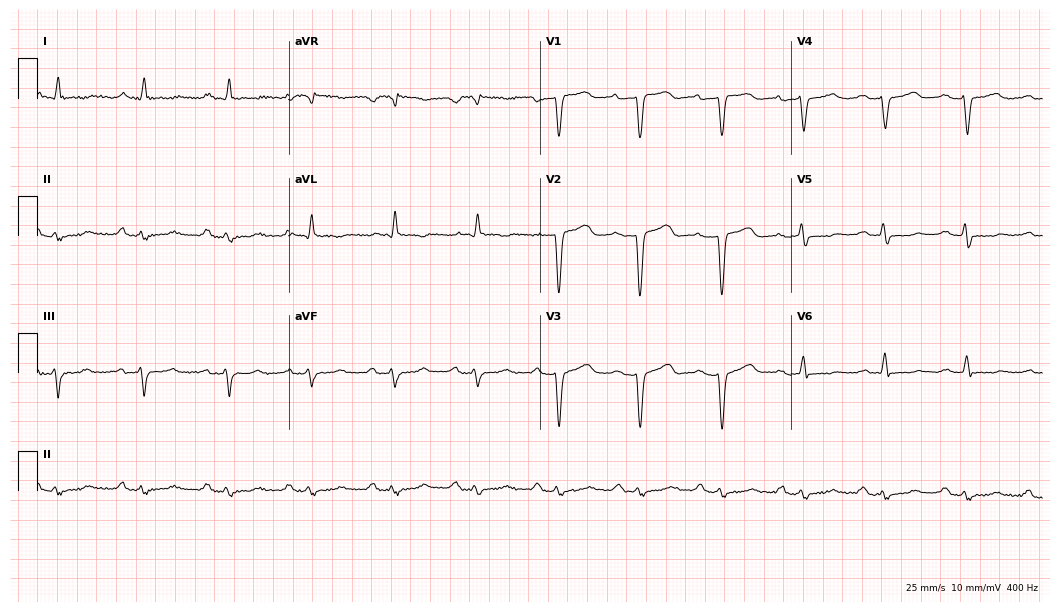
ECG — a 64-year-old female patient. Findings include first-degree AV block.